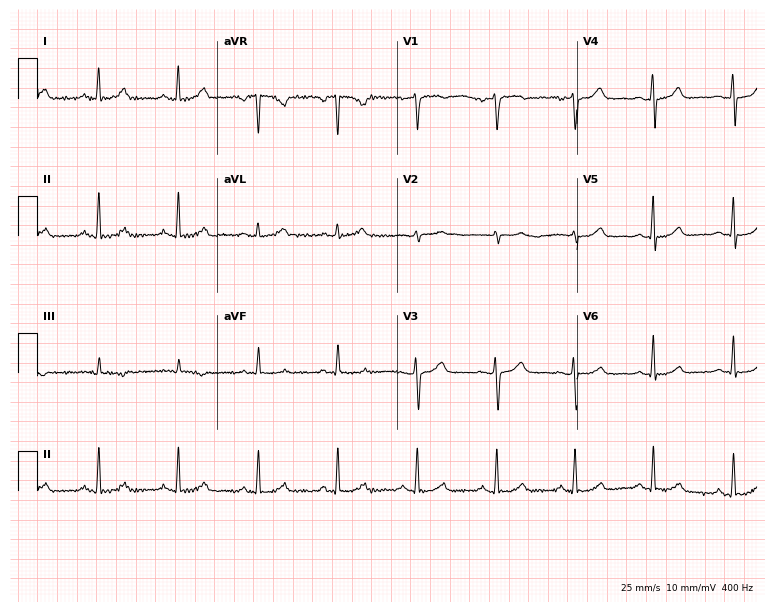
Standard 12-lead ECG recorded from a female, 55 years old. Read as a normal ECG.